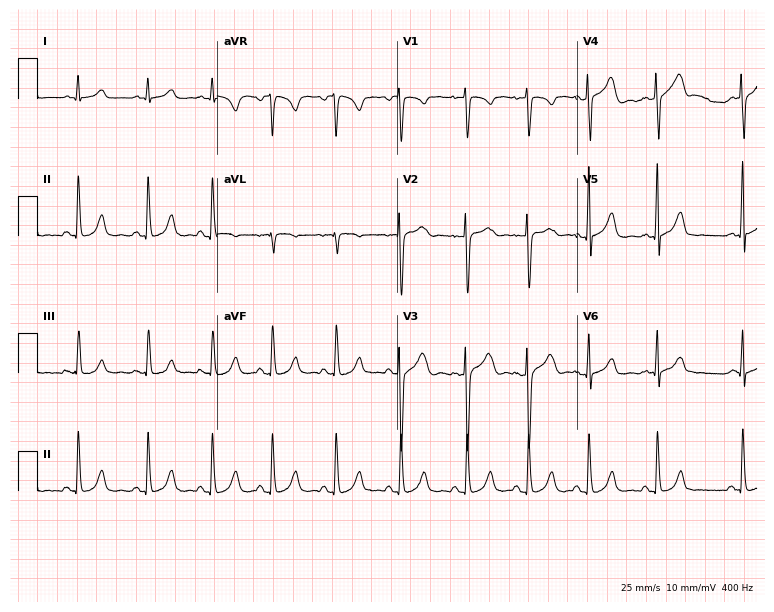
12-lead ECG from a female, 28 years old. Labelled as a normal ECG.